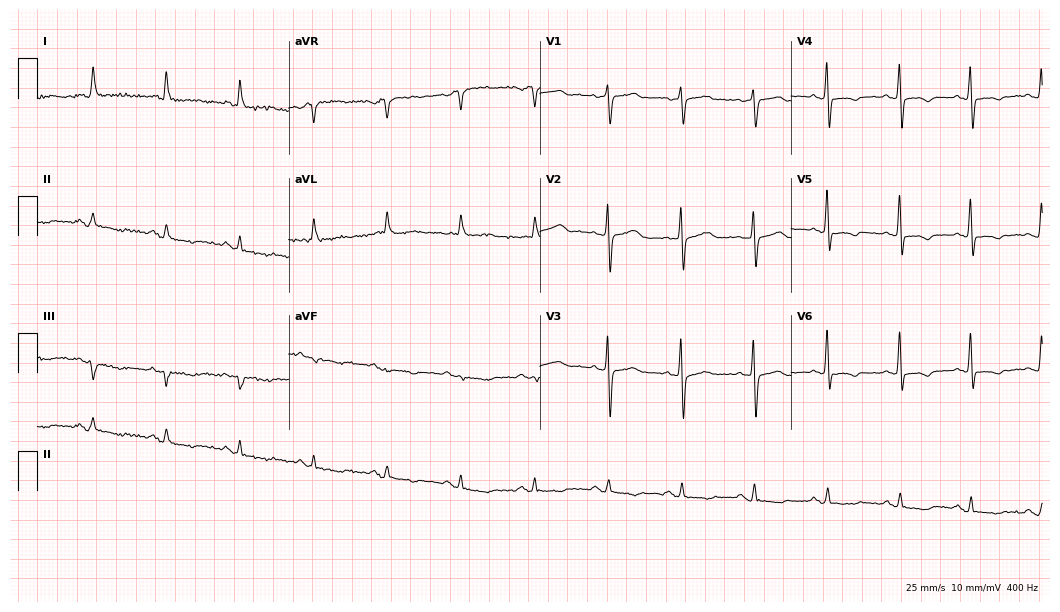
ECG — an 81-year-old female. Screened for six findings — first-degree AV block, right bundle branch block, left bundle branch block, sinus bradycardia, atrial fibrillation, sinus tachycardia — none is recorded. Findings outside these six are not listed.